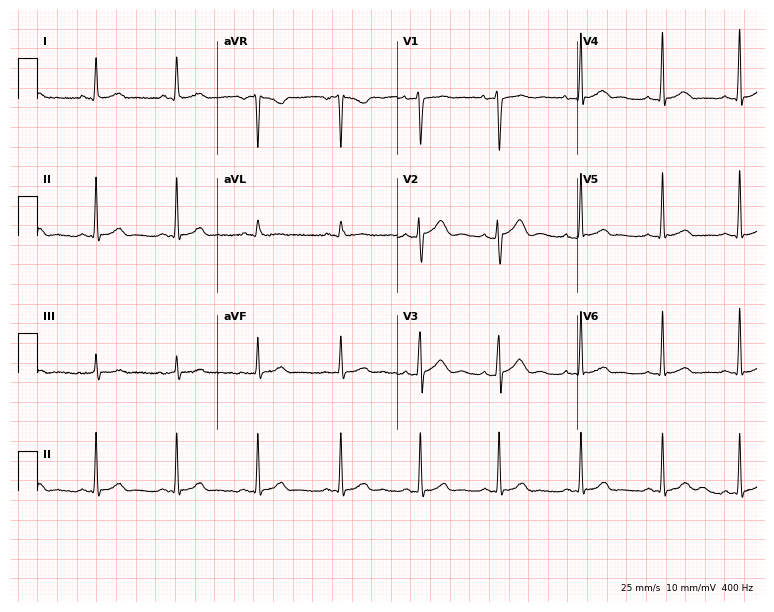
Standard 12-lead ECG recorded from a male patient, 35 years old. Read as a normal ECG.